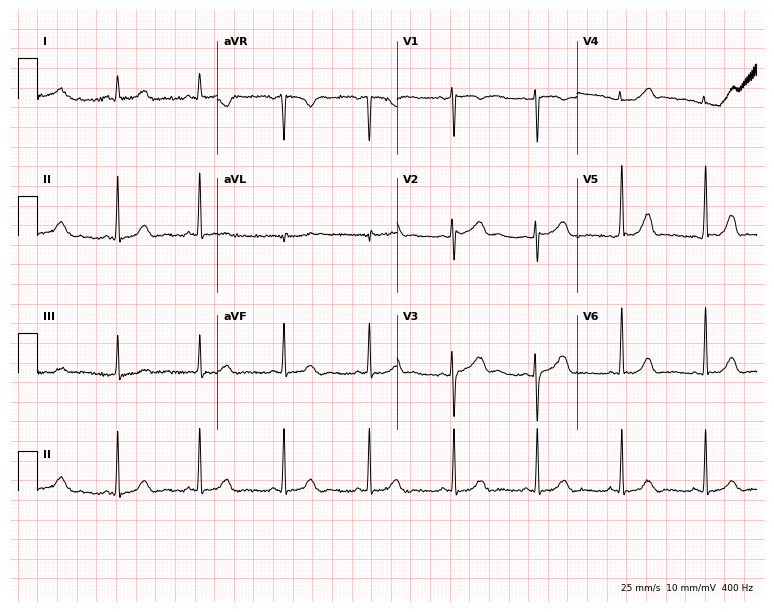
12-lead ECG from a female patient, 56 years old. Labelled as a normal ECG.